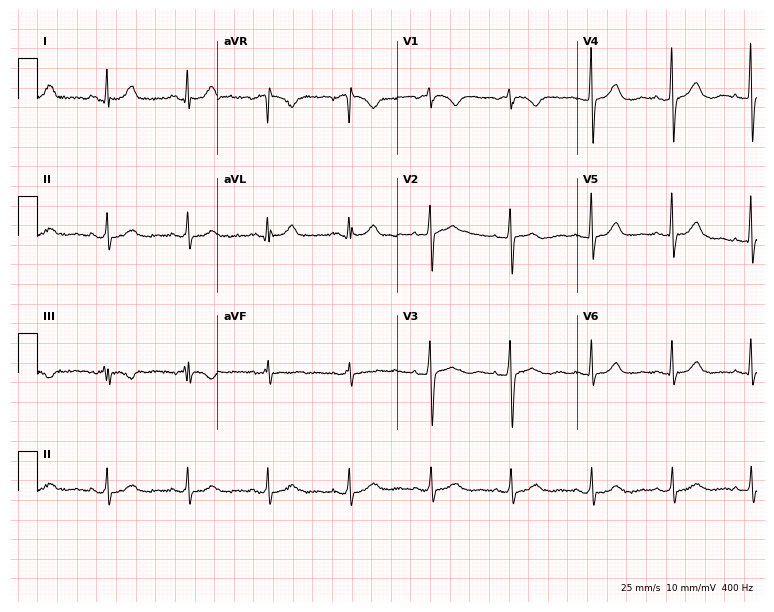
Standard 12-lead ECG recorded from a 61-year-old woman. Read as a normal ECG.